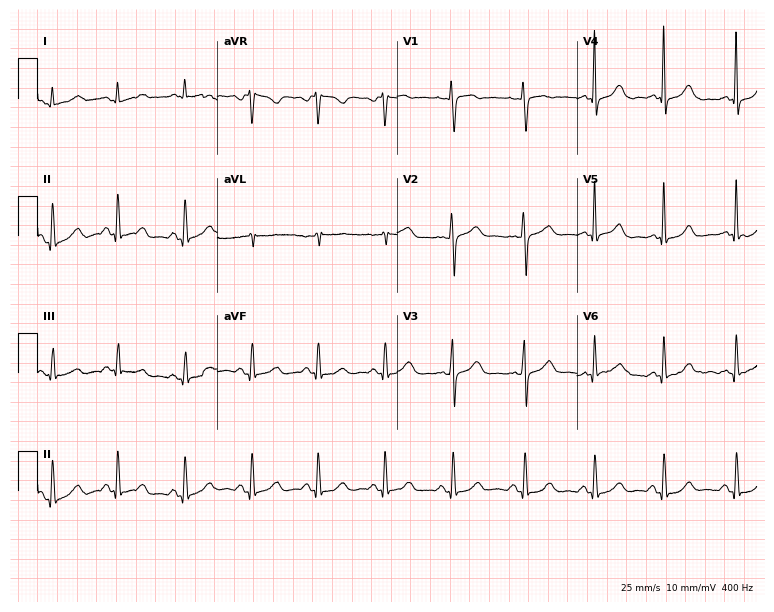
Standard 12-lead ECG recorded from a 41-year-old female patient. None of these six findings is recorded: first-degree AV block, right bundle branch block, left bundle branch block, sinus bradycardia, atrial fibrillation, sinus tachycardia.